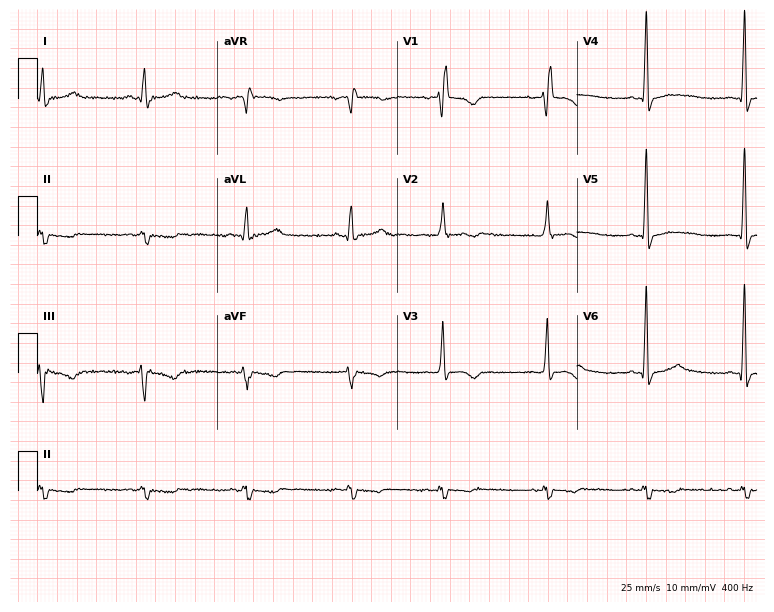
Electrocardiogram, a male patient, 45 years old. Interpretation includes right bundle branch block.